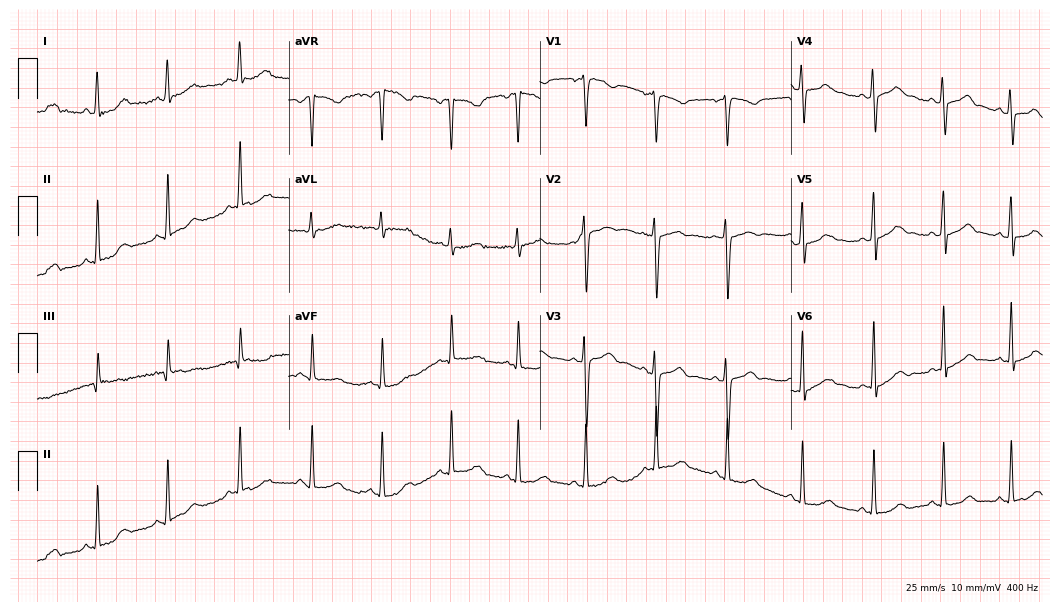
Standard 12-lead ECG recorded from a female patient, 30 years old (10.2-second recording at 400 Hz). Read as a normal ECG.